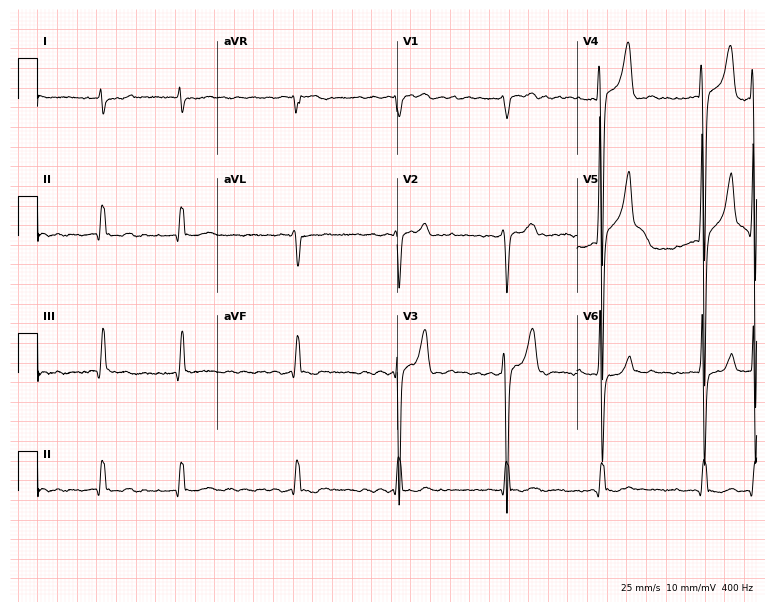
Resting 12-lead electrocardiogram. Patient: a male, 77 years old. None of these six findings is recorded: first-degree AV block, right bundle branch block, left bundle branch block, sinus bradycardia, atrial fibrillation, sinus tachycardia. Only these six findings were labelled.